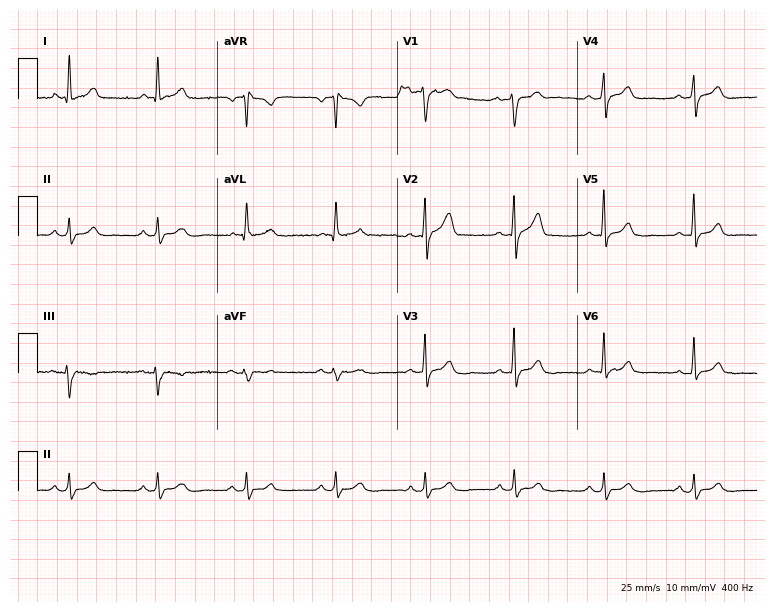
Resting 12-lead electrocardiogram (7.3-second recording at 400 Hz). Patient: a 67-year-old male. Read as a normal ECG.